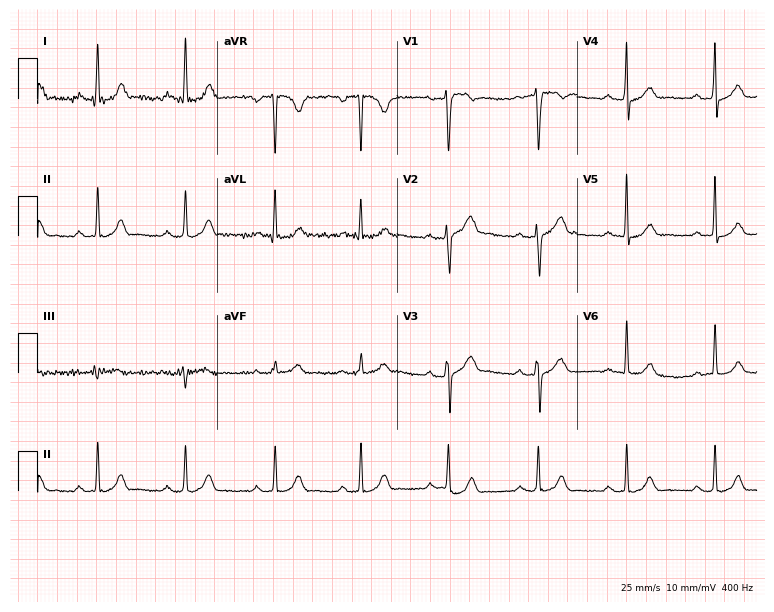
12-lead ECG from a man, 48 years old. Labelled as a normal ECG.